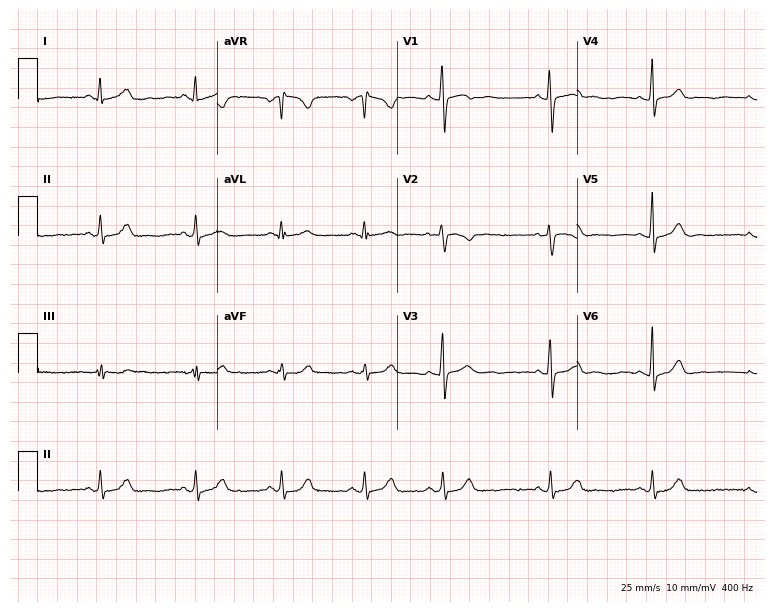
Electrocardiogram, a female patient, 19 years old. Overall reading on record: normal ECG.